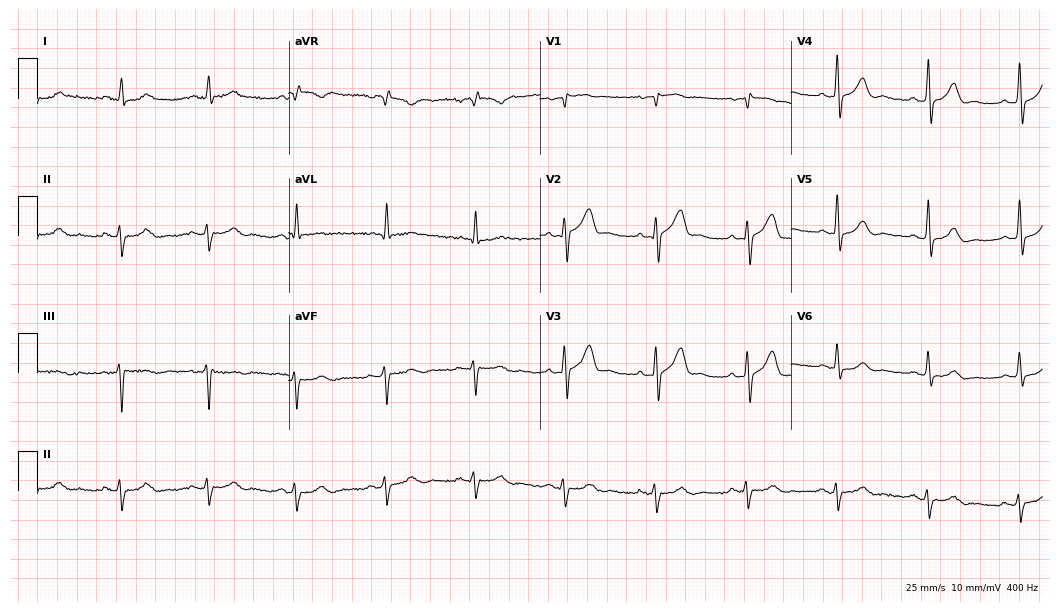
Standard 12-lead ECG recorded from a male patient, 79 years old (10.2-second recording at 400 Hz). None of these six findings is recorded: first-degree AV block, right bundle branch block (RBBB), left bundle branch block (LBBB), sinus bradycardia, atrial fibrillation (AF), sinus tachycardia. Findings outside these six are not listed.